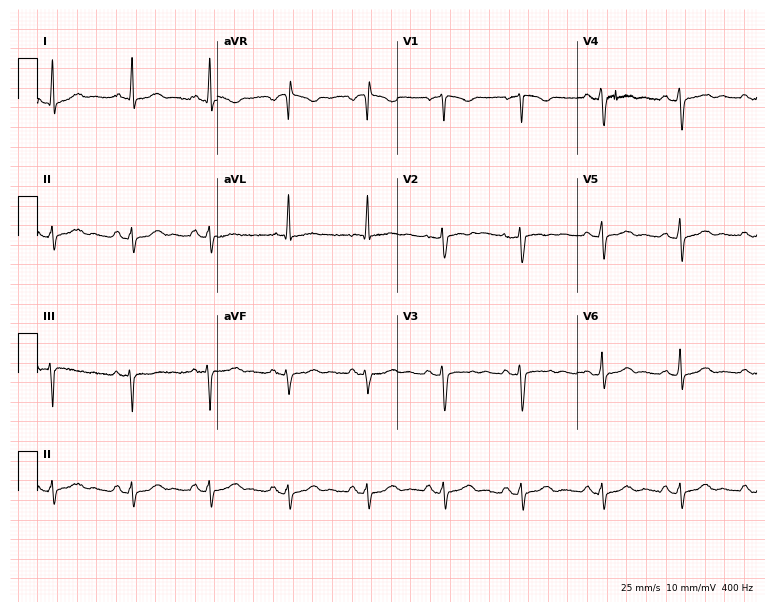
Resting 12-lead electrocardiogram. Patient: a 37-year-old woman. None of these six findings is recorded: first-degree AV block, right bundle branch block, left bundle branch block, sinus bradycardia, atrial fibrillation, sinus tachycardia.